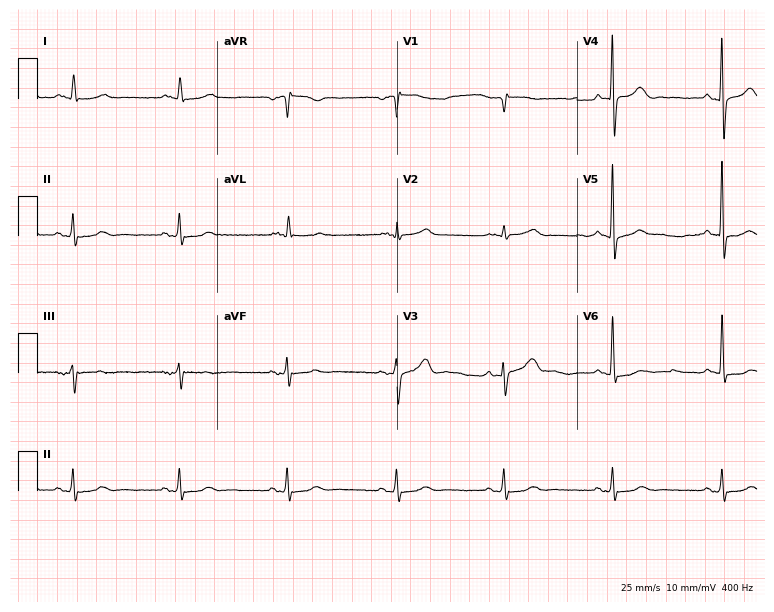
Electrocardiogram, a male, 83 years old. Of the six screened findings (first-degree AV block, right bundle branch block, left bundle branch block, sinus bradycardia, atrial fibrillation, sinus tachycardia), none is recorded. Other findings, if any, are not listed.